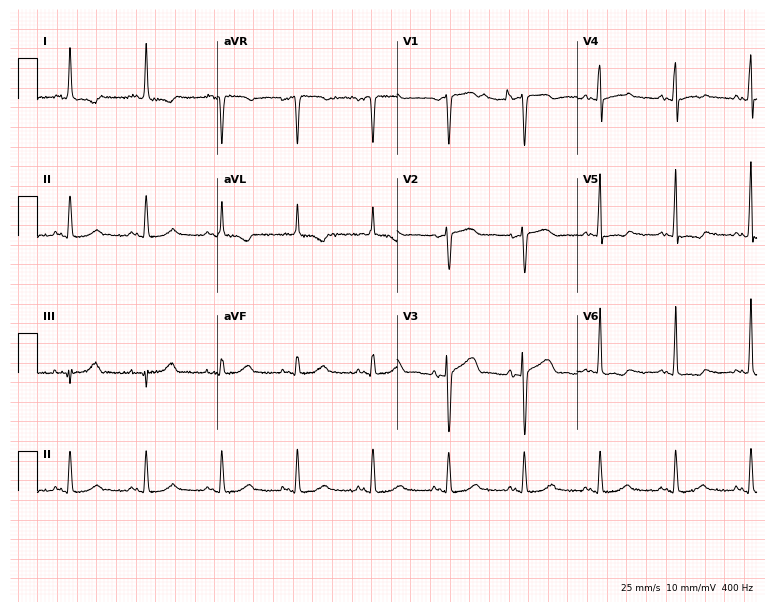
12-lead ECG from a 67-year-old woman. Screened for six findings — first-degree AV block, right bundle branch block (RBBB), left bundle branch block (LBBB), sinus bradycardia, atrial fibrillation (AF), sinus tachycardia — none is recorded. Only these six findings were labelled.